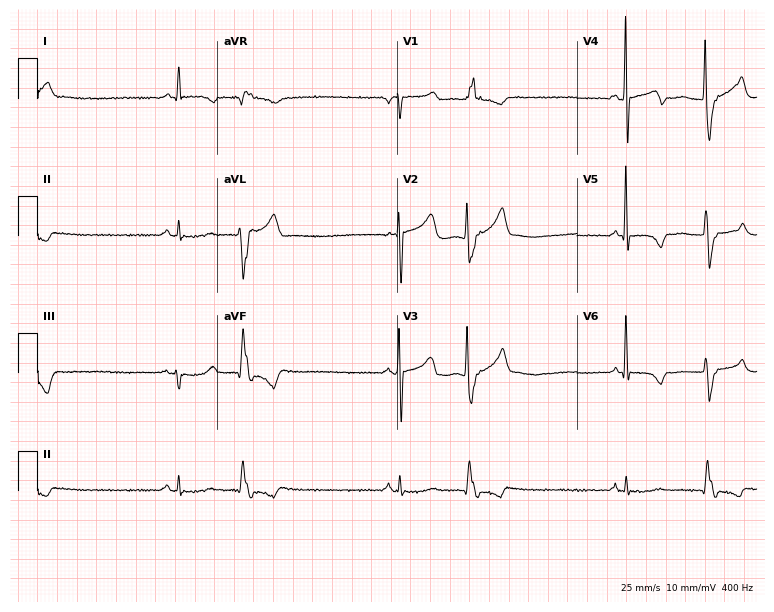
Resting 12-lead electrocardiogram. Patient: a male, 38 years old. None of these six findings is recorded: first-degree AV block, right bundle branch block, left bundle branch block, sinus bradycardia, atrial fibrillation, sinus tachycardia.